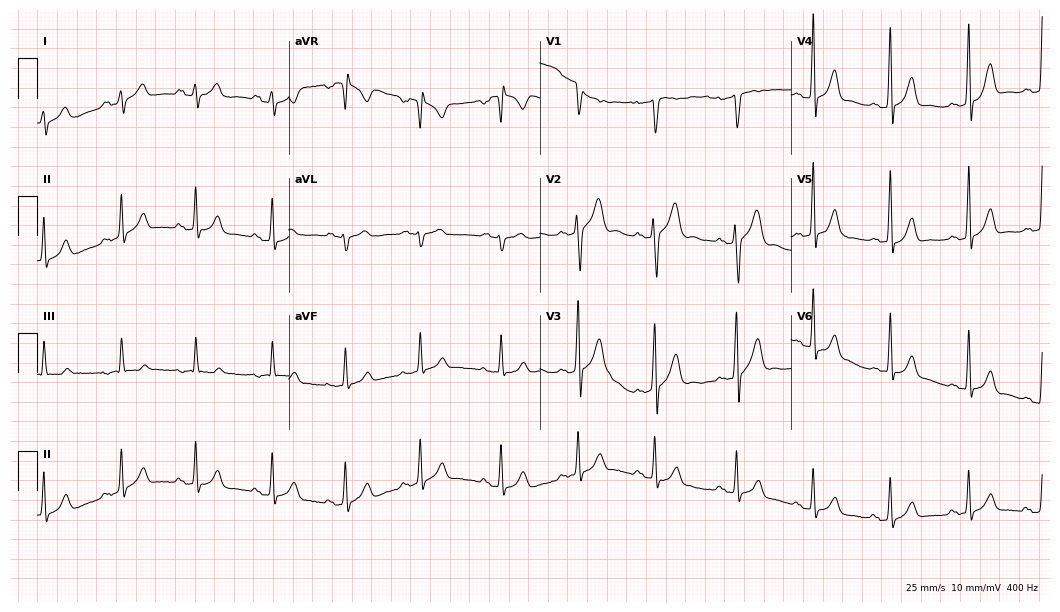
Resting 12-lead electrocardiogram. Patient: a 17-year-old male. Read as a normal ECG.